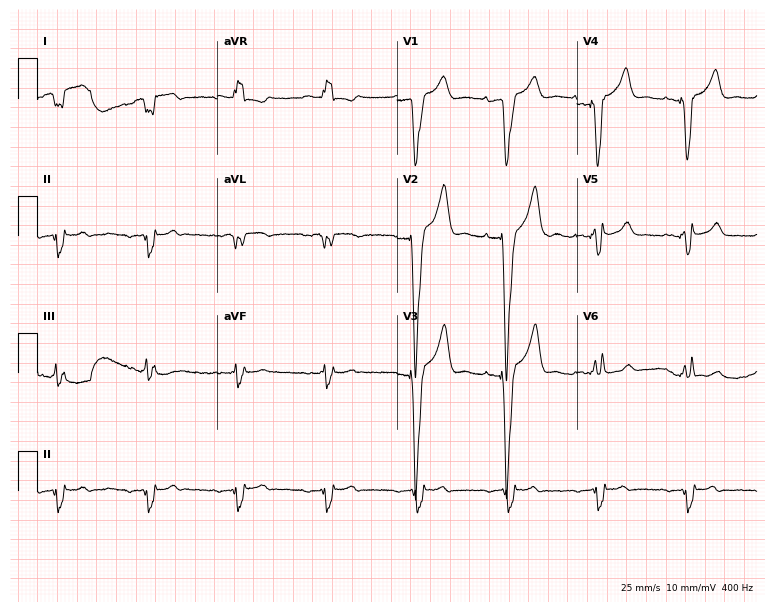
12-lead ECG from a female patient, 54 years old. No first-degree AV block, right bundle branch block (RBBB), left bundle branch block (LBBB), sinus bradycardia, atrial fibrillation (AF) or sinus tachycardia recorded for this tracing.